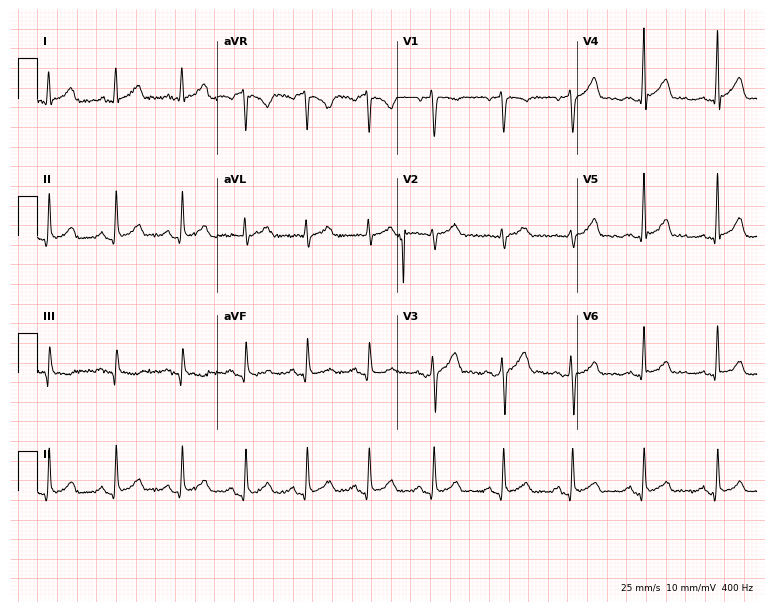
ECG — a 32-year-old man. Screened for six findings — first-degree AV block, right bundle branch block (RBBB), left bundle branch block (LBBB), sinus bradycardia, atrial fibrillation (AF), sinus tachycardia — none is recorded.